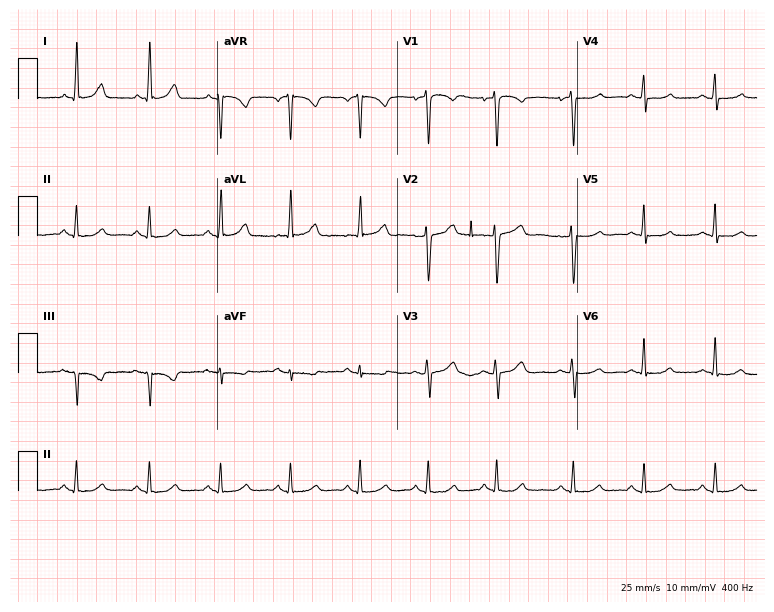
ECG — a 50-year-old female. Labelled as a normal ECG.